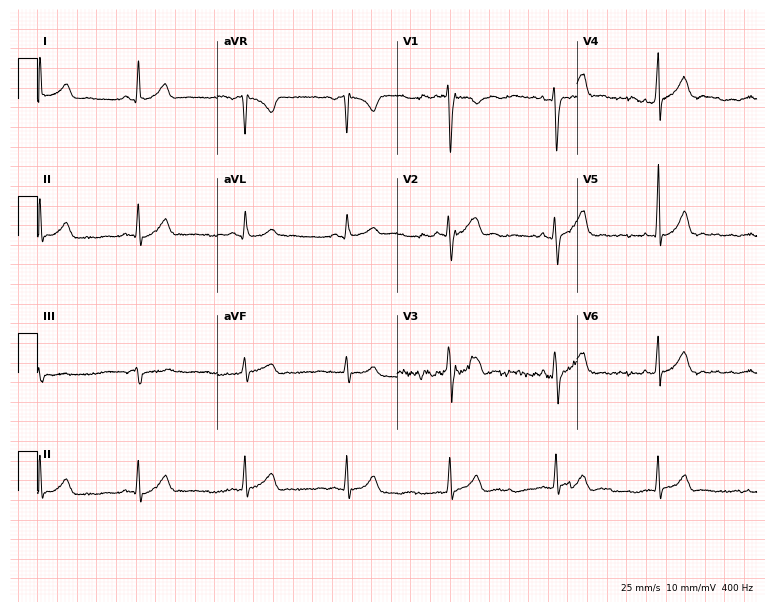
12-lead ECG (7.3-second recording at 400 Hz) from a man, 40 years old. Labelled as a normal ECG.